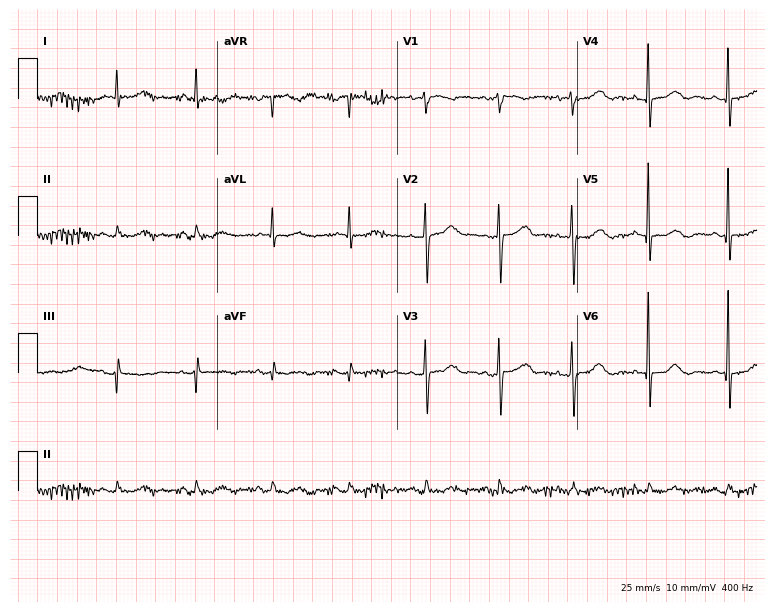
Standard 12-lead ECG recorded from an 83-year-old man (7.3-second recording at 400 Hz). None of these six findings is recorded: first-degree AV block, right bundle branch block (RBBB), left bundle branch block (LBBB), sinus bradycardia, atrial fibrillation (AF), sinus tachycardia.